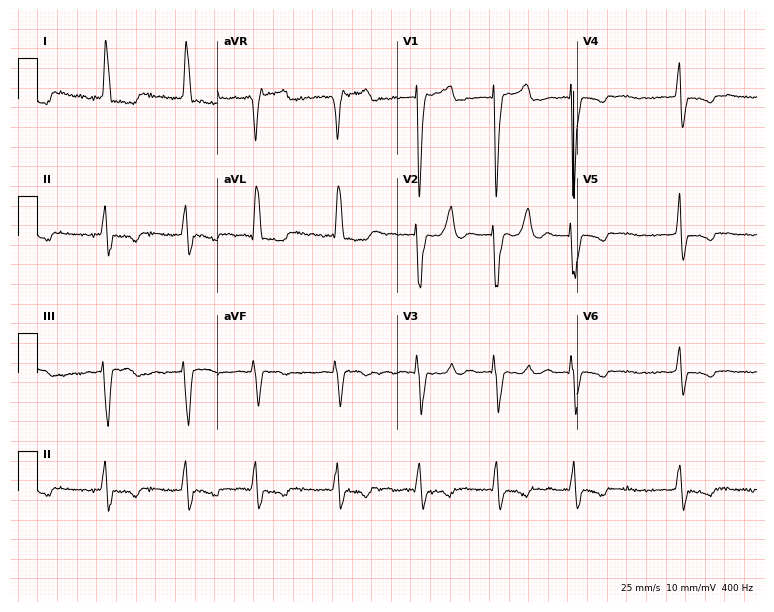
12-lead ECG from a female patient, 81 years old (7.3-second recording at 400 Hz). Shows left bundle branch block, atrial fibrillation.